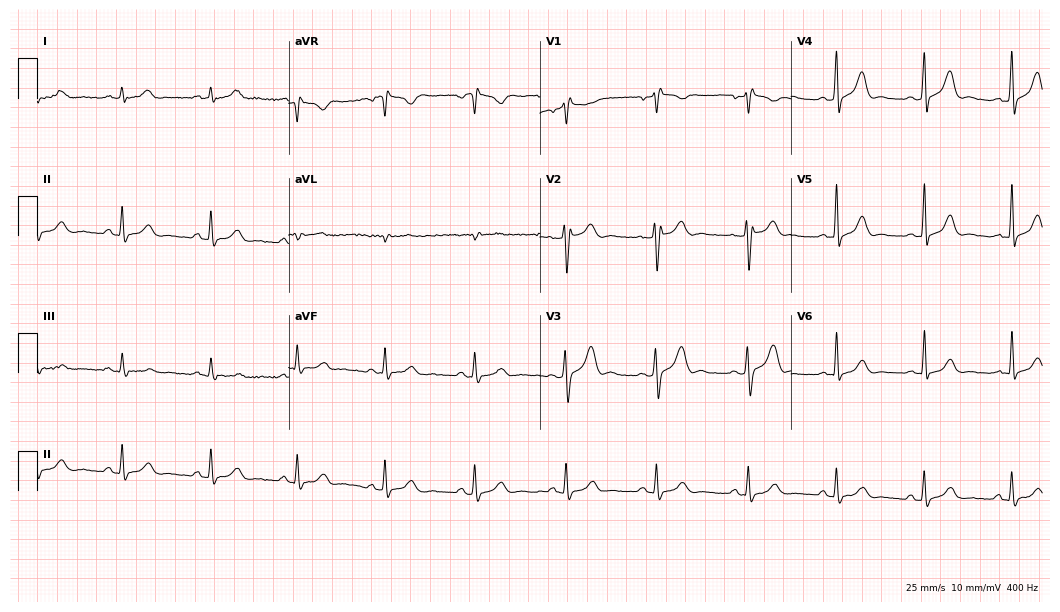
12-lead ECG from a 40-year-old male patient. Recorded interpretation: within normal limits.